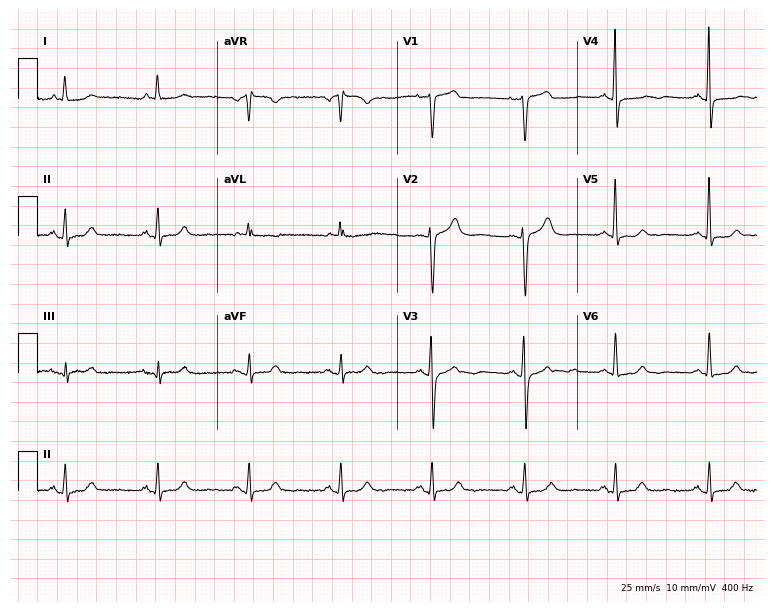
12-lead ECG from a female patient, 61 years old (7.3-second recording at 400 Hz). No first-degree AV block, right bundle branch block (RBBB), left bundle branch block (LBBB), sinus bradycardia, atrial fibrillation (AF) or sinus tachycardia recorded for this tracing. Other findings, if any, are not listed.